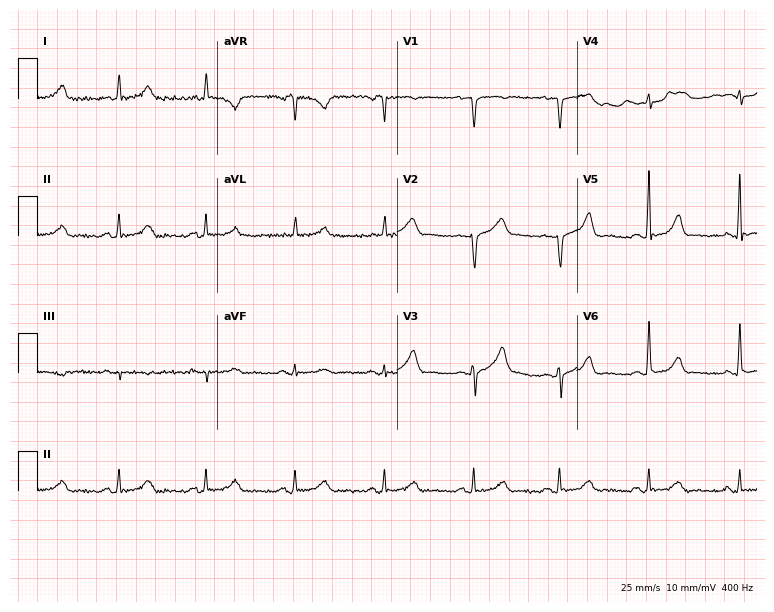
12-lead ECG (7.3-second recording at 400 Hz) from a female, 55 years old. Screened for six findings — first-degree AV block, right bundle branch block, left bundle branch block, sinus bradycardia, atrial fibrillation, sinus tachycardia — none is recorded.